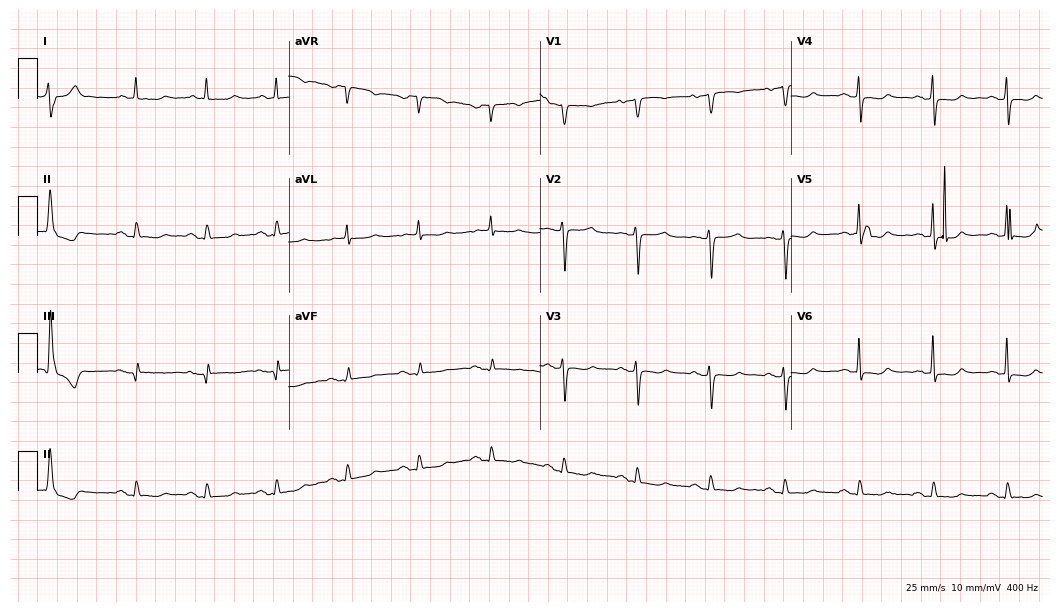
Resting 12-lead electrocardiogram (10.2-second recording at 400 Hz). Patient: an 87-year-old woman. None of these six findings is recorded: first-degree AV block, right bundle branch block (RBBB), left bundle branch block (LBBB), sinus bradycardia, atrial fibrillation (AF), sinus tachycardia.